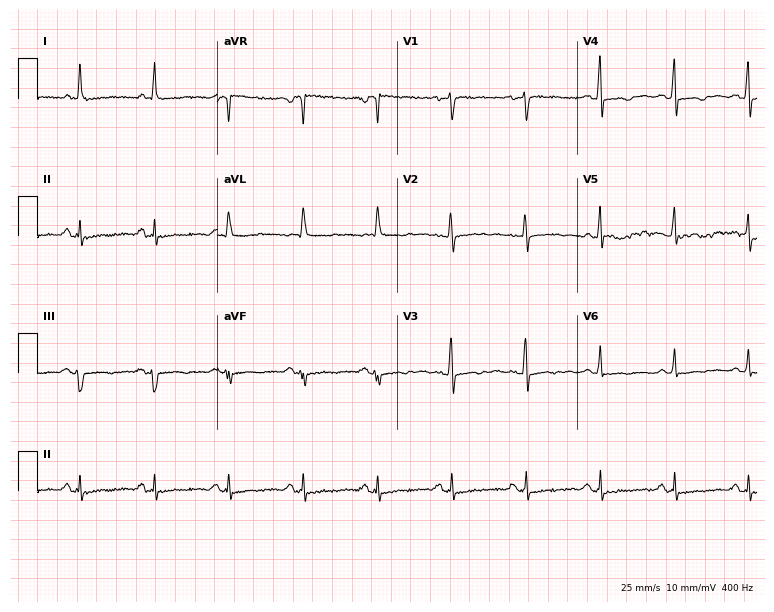
Resting 12-lead electrocardiogram (7.3-second recording at 400 Hz). Patient: a female, 64 years old. None of these six findings is recorded: first-degree AV block, right bundle branch block (RBBB), left bundle branch block (LBBB), sinus bradycardia, atrial fibrillation (AF), sinus tachycardia. Findings outside these six are not listed.